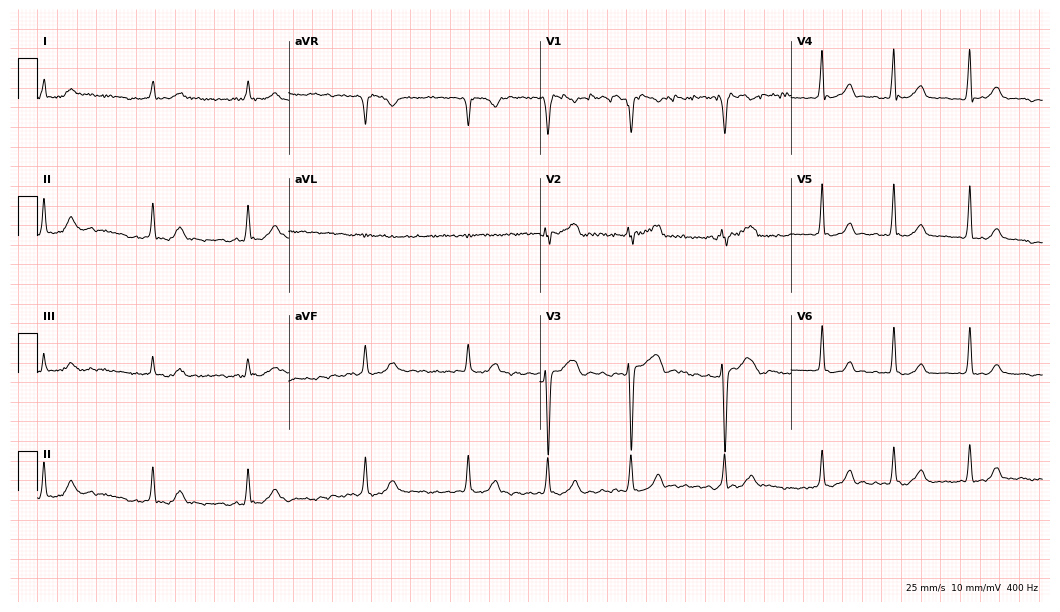
ECG (10.2-second recording at 400 Hz) — a man, 46 years old. Findings include atrial fibrillation.